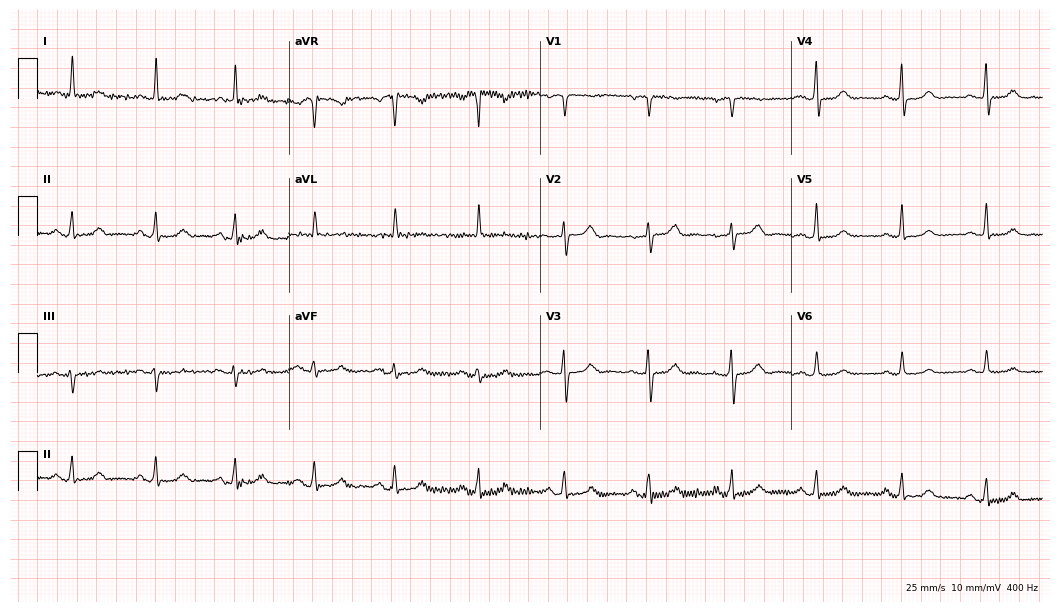
Electrocardiogram, a female patient, 69 years old. Of the six screened findings (first-degree AV block, right bundle branch block (RBBB), left bundle branch block (LBBB), sinus bradycardia, atrial fibrillation (AF), sinus tachycardia), none is recorded. Only these six findings were labelled.